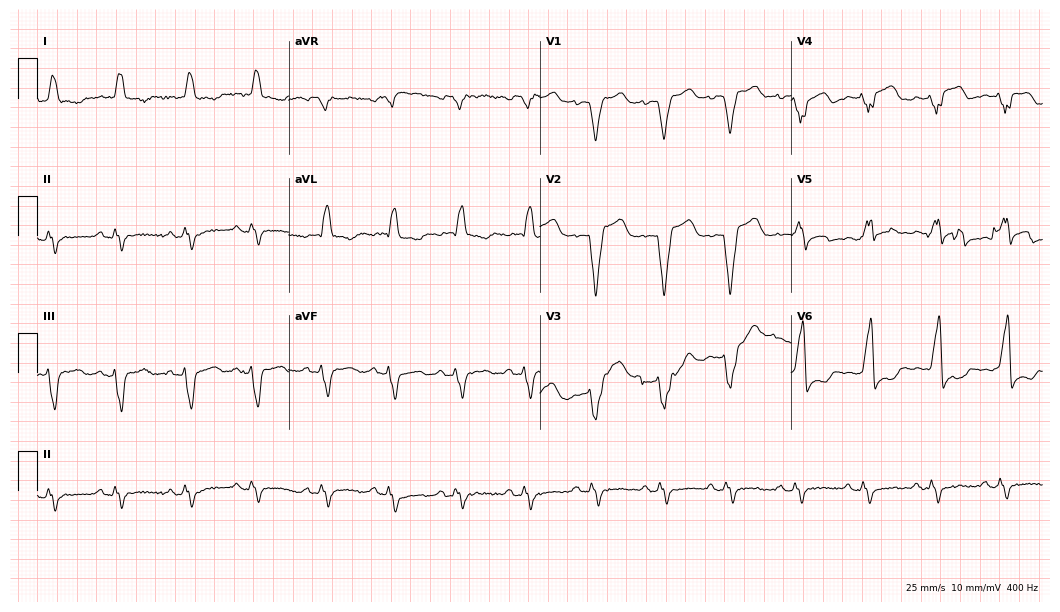
ECG (10.2-second recording at 400 Hz) — a female patient, 80 years old. Screened for six findings — first-degree AV block, right bundle branch block (RBBB), left bundle branch block (LBBB), sinus bradycardia, atrial fibrillation (AF), sinus tachycardia — none is recorded. Findings outside these six are not listed.